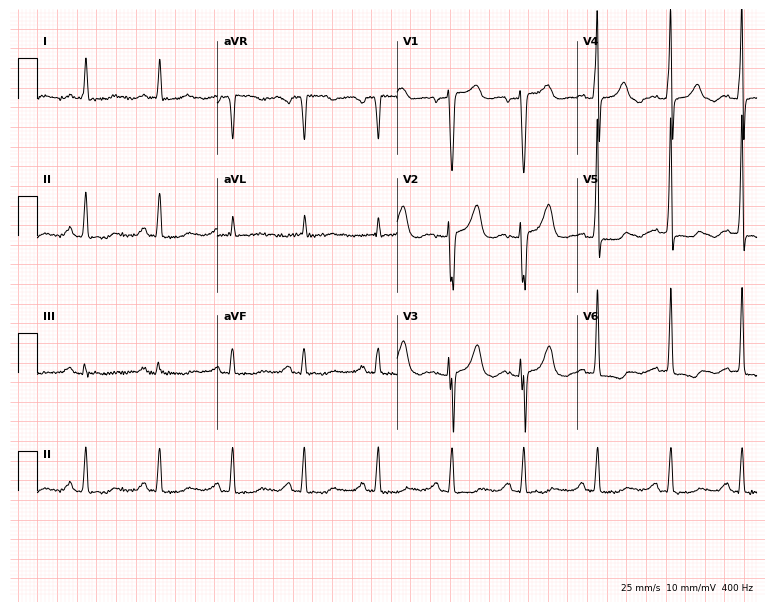
Resting 12-lead electrocardiogram (7.3-second recording at 400 Hz). Patient: a female, 84 years old. Read as a normal ECG.